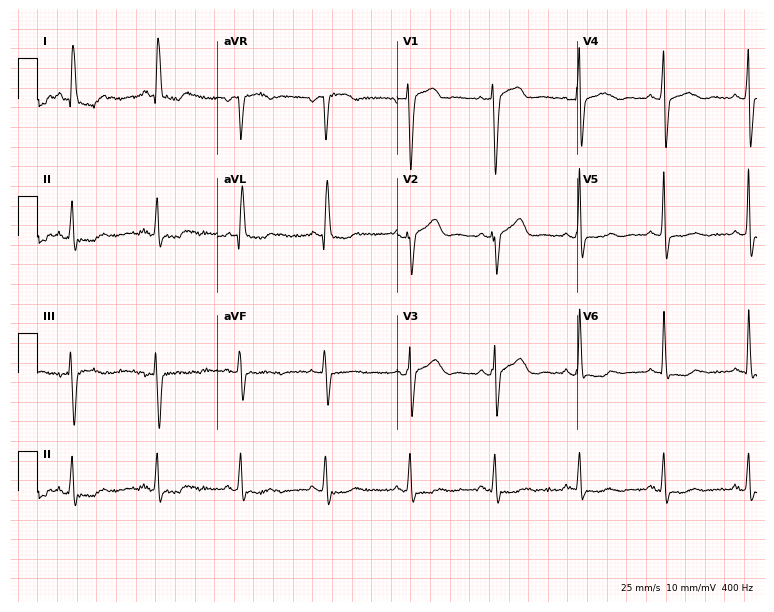
Standard 12-lead ECG recorded from a 62-year-old female patient. None of these six findings is recorded: first-degree AV block, right bundle branch block, left bundle branch block, sinus bradycardia, atrial fibrillation, sinus tachycardia.